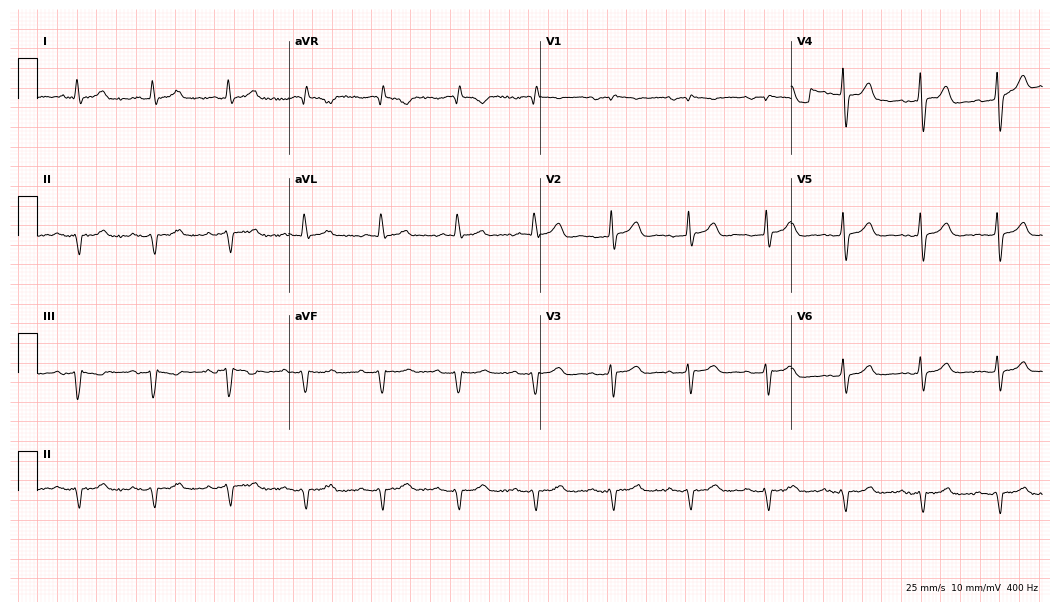
12-lead ECG from a 73-year-old man. Screened for six findings — first-degree AV block, right bundle branch block, left bundle branch block, sinus bradycardia, atrial fibrillation, sinus tachycardia — none is recorded.